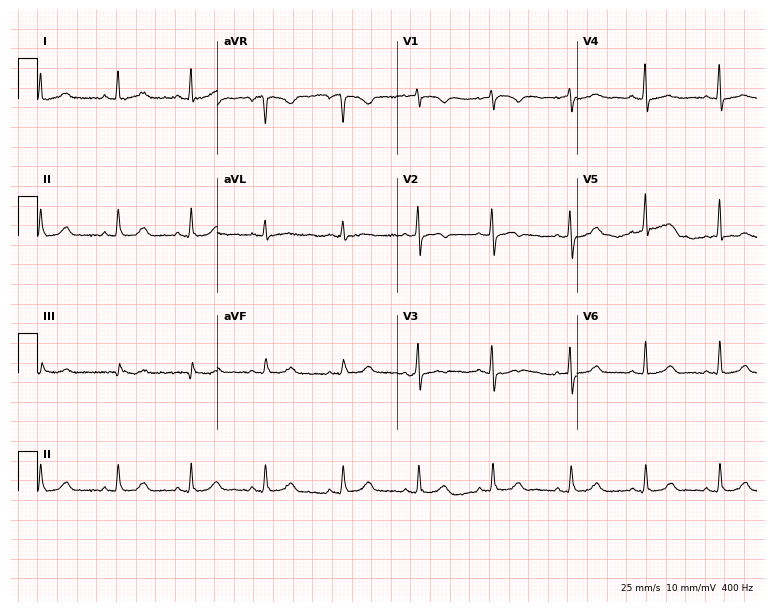
ECG — a 65-year-old female patient. Screened for six findings — first-degree AV block, right bundle branch block, left bundle branch block, sinus bradycardia, atrial fibrillation, sinus tachycardia — none is recorded.